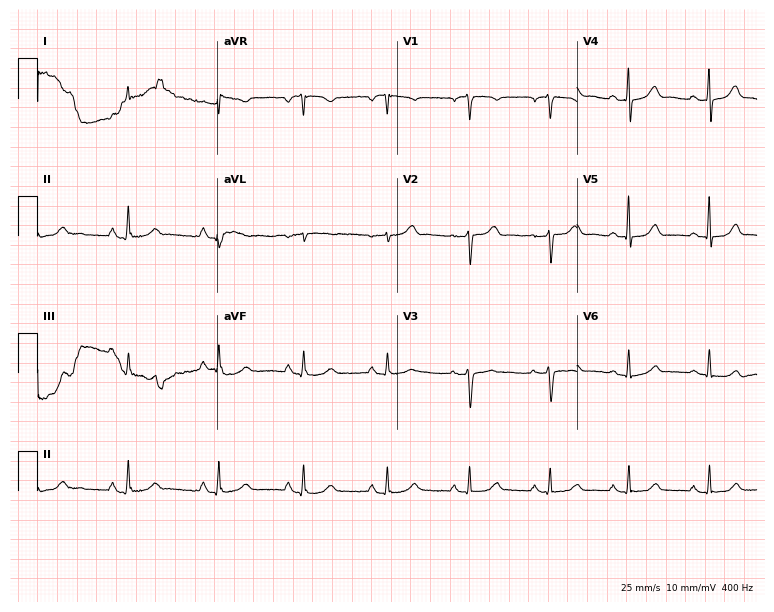
12-lead ECG from a woman, 60 years old. No first-degree AV block, right bundle branch block, left bundle branch block, sinus bradycardia, atrial fibrillation or sinus tachycardia recorded for this tracing. Other findings, if any, are not listed.